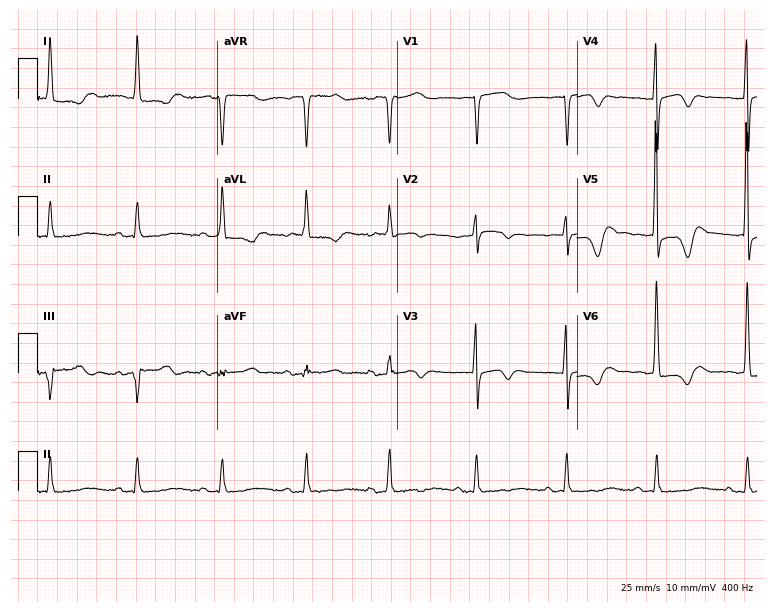
Electrocardiogram (7.3-second recording at 400 Hz), a 75-year-old female patient. Of the six screened findings (first-degree AV block, right bundle branch block, left bundle branch block, sinus bradycardia, atrial fibrillation, sinus tachycardia), none is recorded.